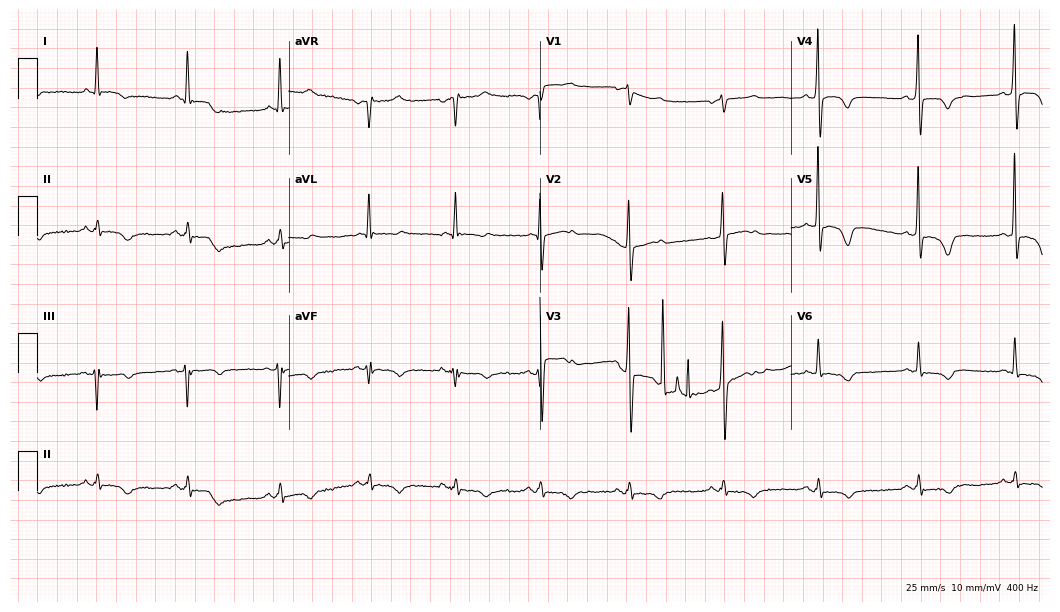
Resting 12-lead electrocardiogram. Patient: a 70-year-old man. None of these six findings is recorded: first-degree AV block, right bundle branch block (RBBB), left bundle branch block (LBBB), sinus bradycardia, atrial fibrillation (AF), sinus tachycardia.